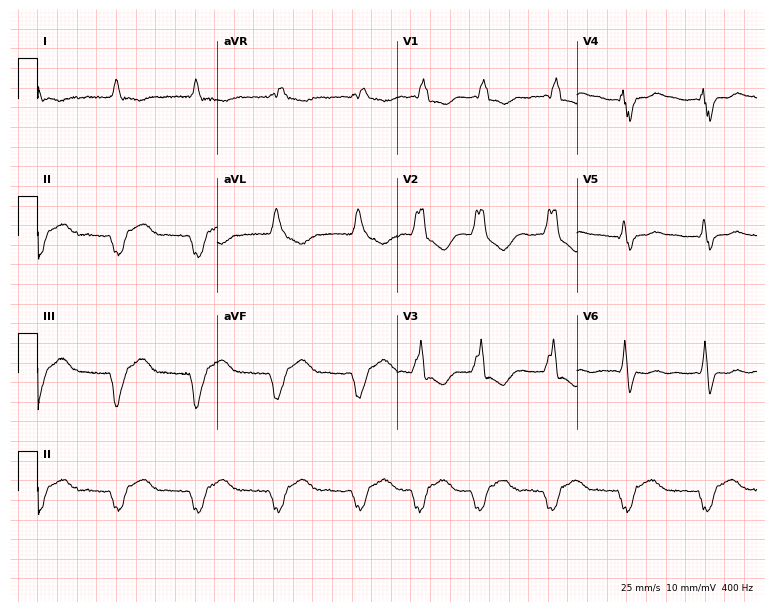
Electrocardiogram (7.3-second recording at 400 Hz), a 59-year-old female. Interpretation includes right bundle branch block (RBBB), atrial fibrillation (AF).